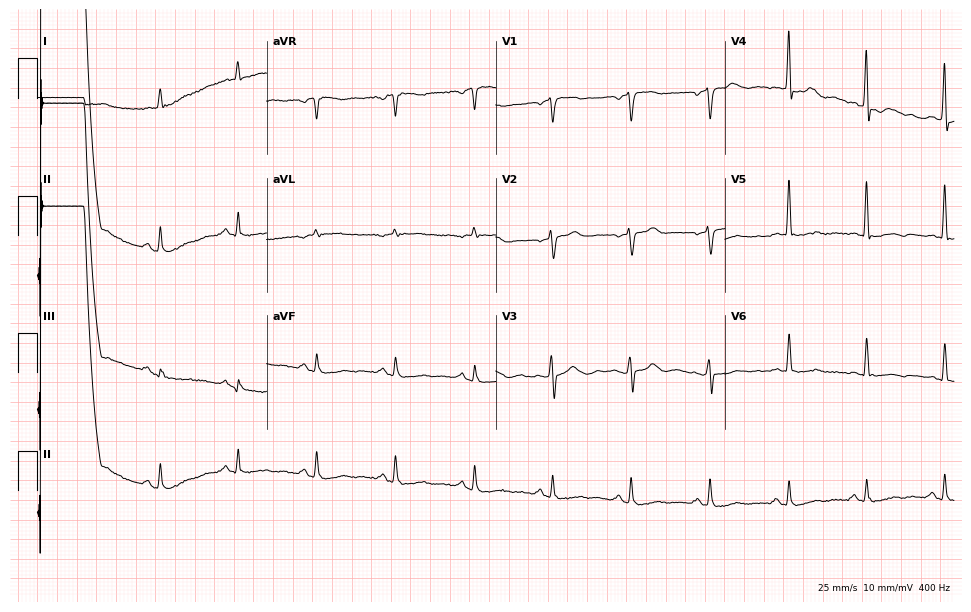
Standard 12-lead ECG recorded from a male, 73 years old. None of these six findings is recorded: first-degree AV block, right bundle branch block, left bundle branch block, sinus bradycardia, atrial fibrillation, sinus tachycardia. Findings outside these six are not listed.